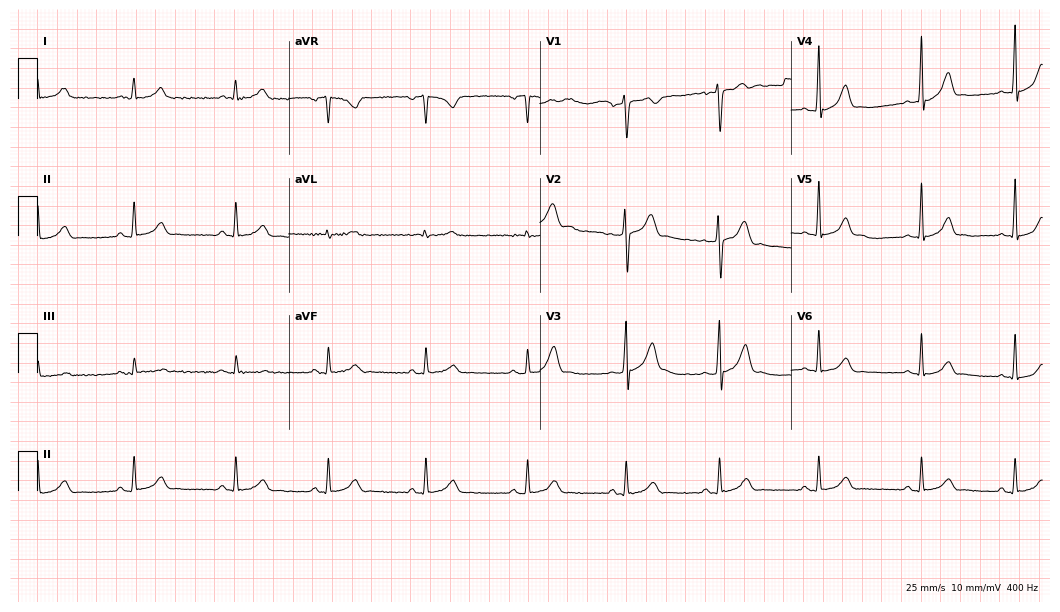
Resting 12-lead electrocardiogram. Patient: a man, 35 years old. Read as a normal ECG.